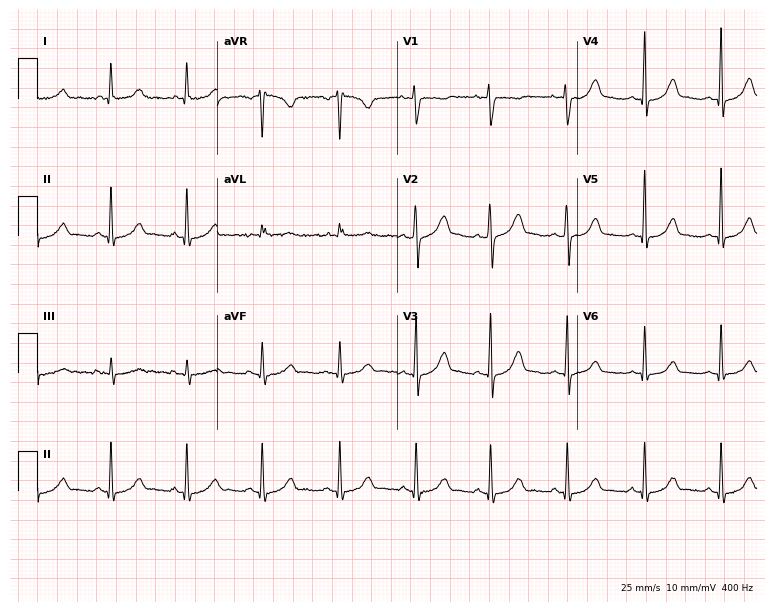
Standard 12-lead ECG recorded from a female patient, 32 years old. Read as a normal ECG.